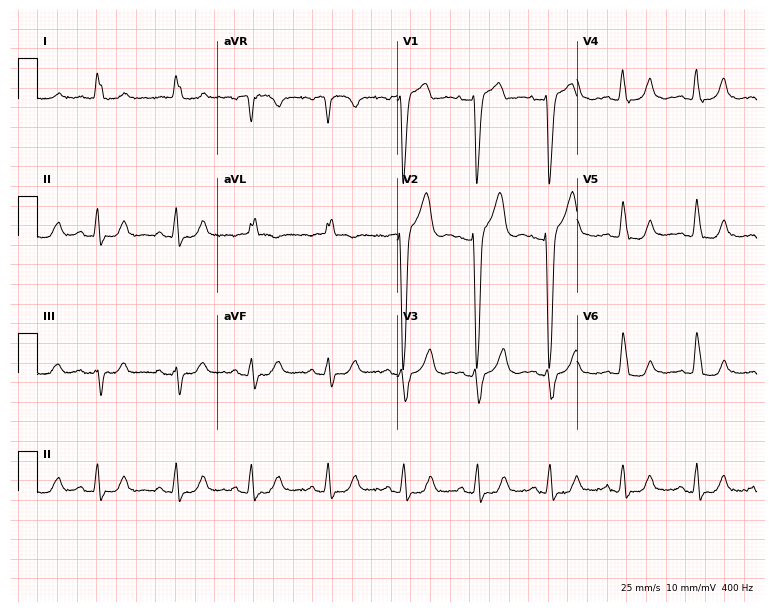
Electrocardiogram (7.3-second recording at 400 Hz), a woman, 80 years old. Interpretation includes left bundle branch block.